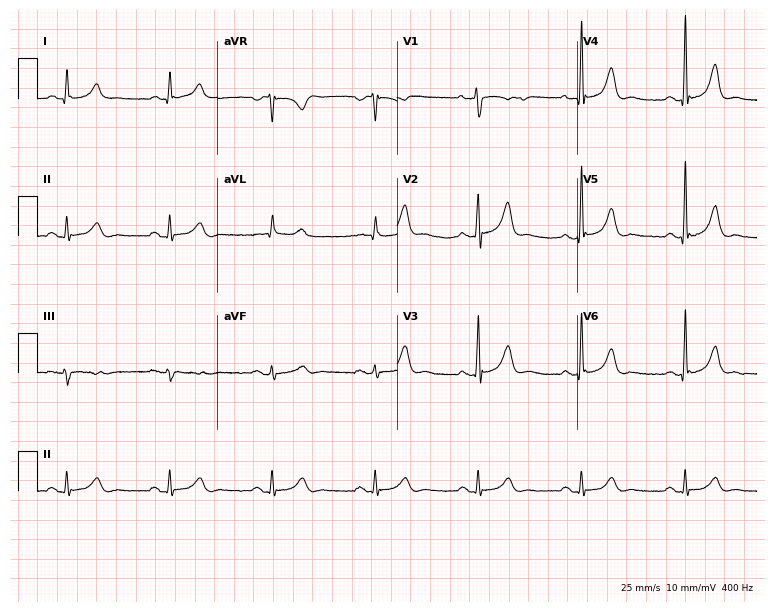
12-lead ECG (7.3-second recording at 400 Hz) from a 65-year-old male. Labelled as a normal ECG.